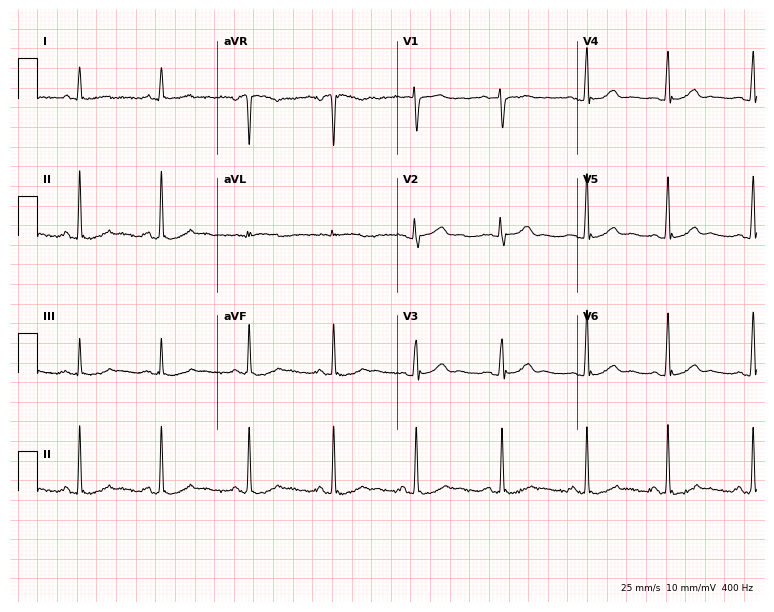
Electrocardiogram (7.3-second recording at 400 Hz), a female patient, 44 years old. Of the six screened findings (first-degree AV block, right bundle branch block, left bundle branch block, sinus bradycardia, atrial fibrillation, sinus tachycardia), none is recorded. Only these six findings were labelled.